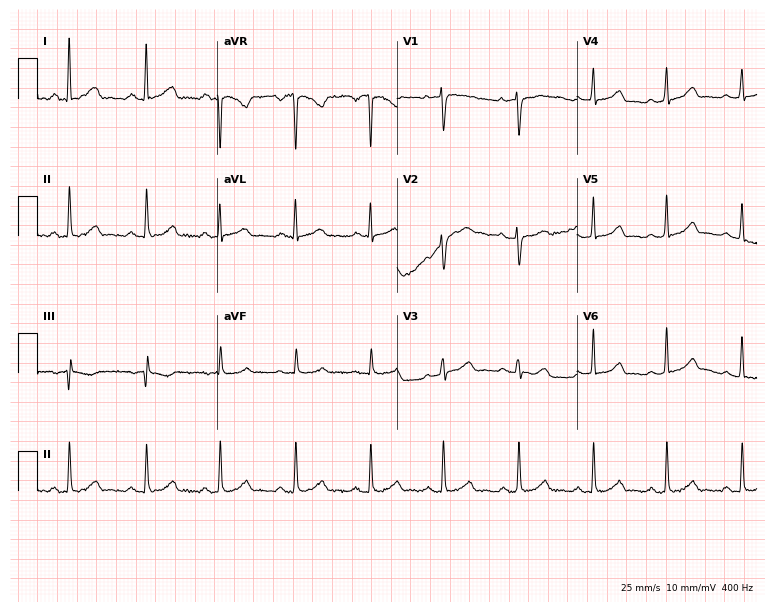
Standard 12-lead ECG recorded from a woman, 39 years old (7.3-second recording at 400 Hz). Read as a normal ECG.